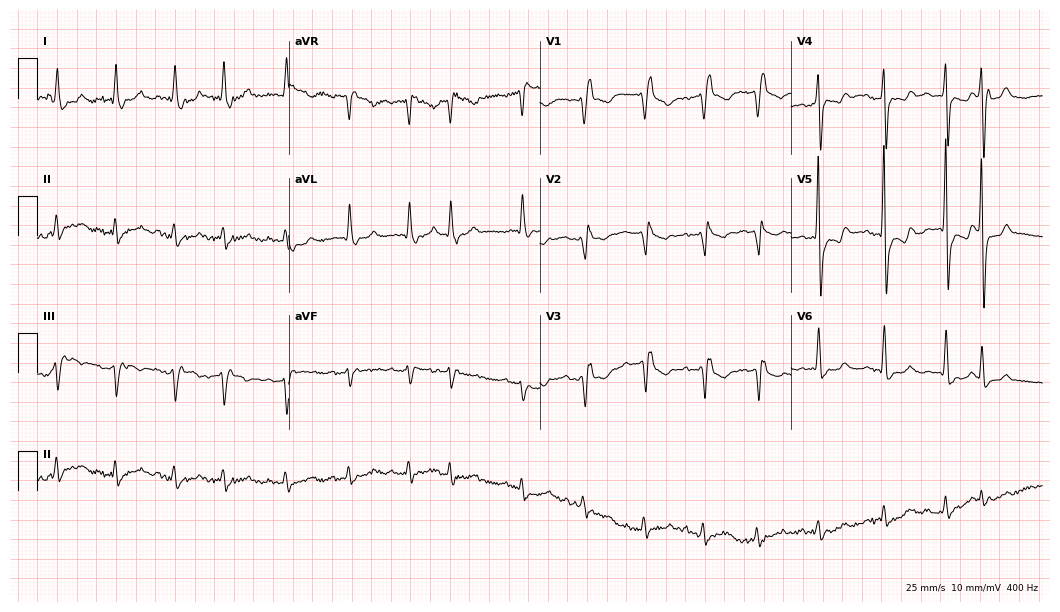
Standard 12-lead ECG recorded from a male, 82 years old. None of these six findings is recorded: first-degree AV block, right bundle branch block (RBBB), left bundle branch block (LBBB), sinus bradycardia, atrial fibrillation (AF), sinus tachycardia. Other findings, if any, are not listed.